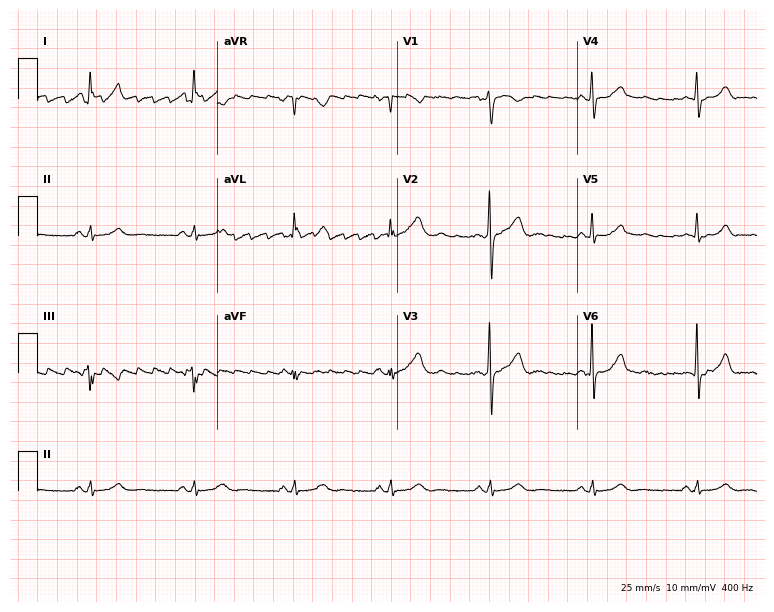
12-lead ECG (7.3-second recording at 400 Hz) from a female, 39 years old. Labelled as a normal ECG.